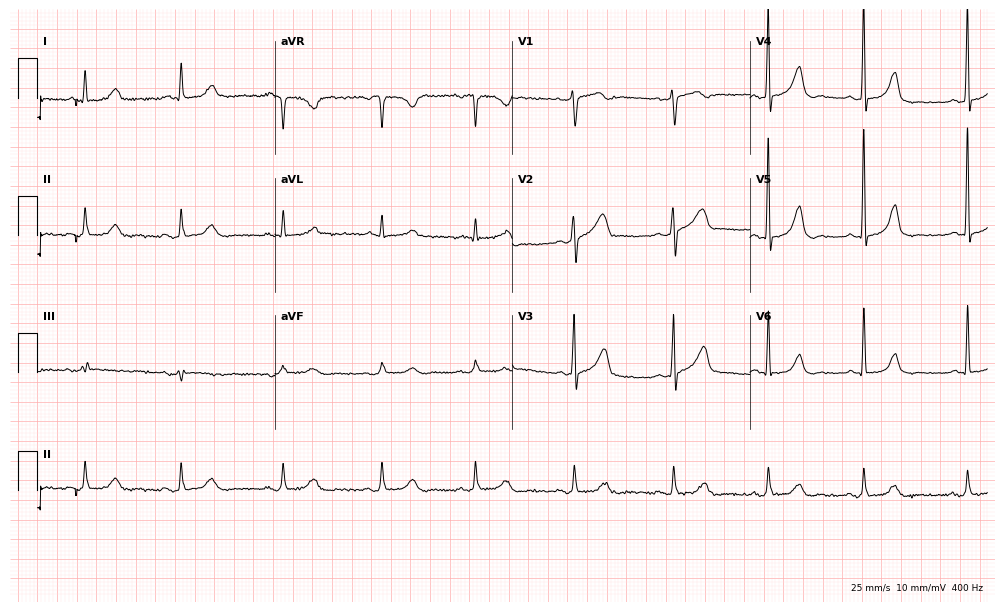
ECG — a woman, 62 years old. Labelled as a normal ECG.